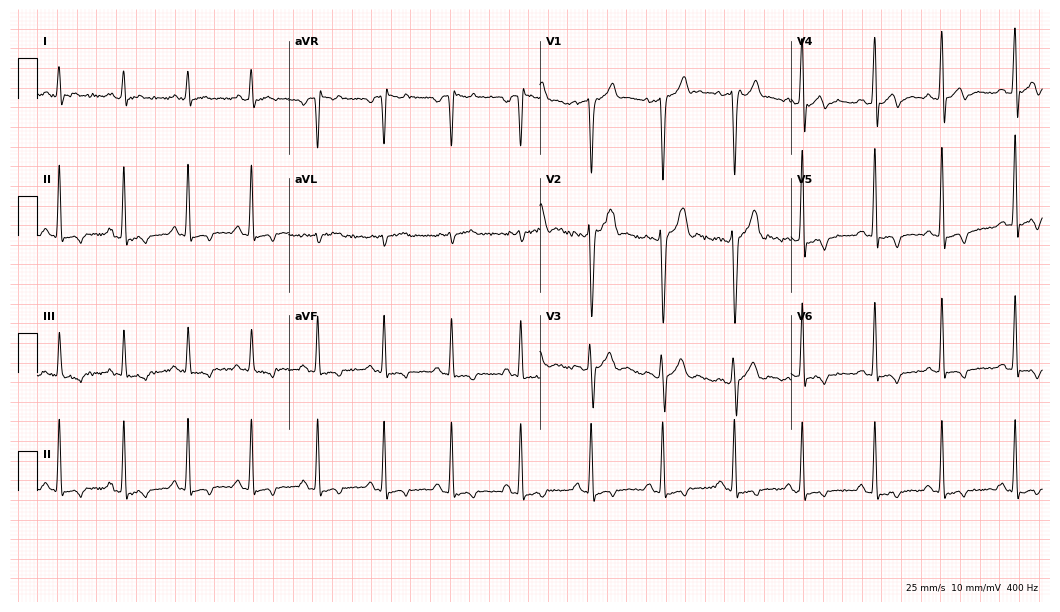
Resting 12-lead electrocardiogram (10.2-second recording at 400 Hz). Patient: a male, 35 years old. None of these six findings is recorded: first-degree AV block, right bundle branch block, left bundle branch block, sinus bradycardia, atrial fibrillation, sinus tachycardia. Only these six findings were labelled.